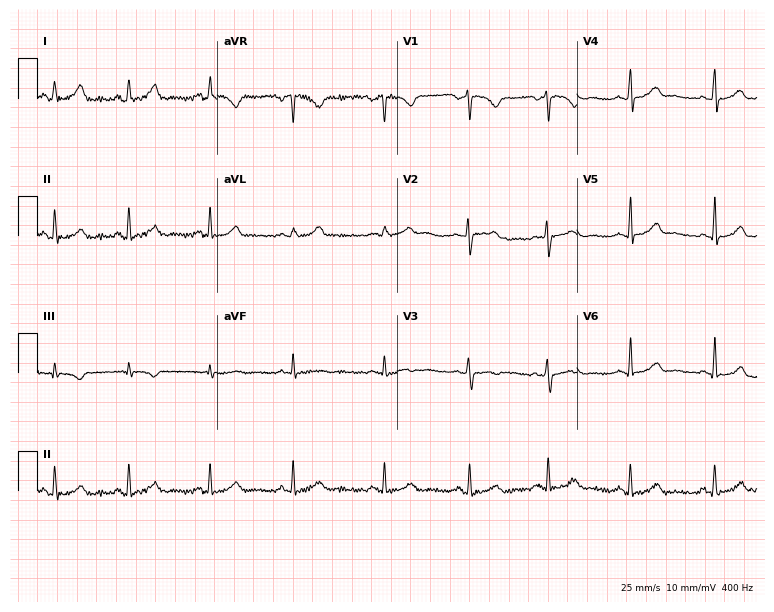
ECG (7.3-second recording at 400 Hz) — a 33-year-old female patient. Screened for six findings — first-degree AV block, right bundle branch block (RBBB), left bundle branch block (LBBB), sinus bradycardia, atrial fibrillation (AF), sinus tachycardia — none is recorded. Findings outside these six are not listed.